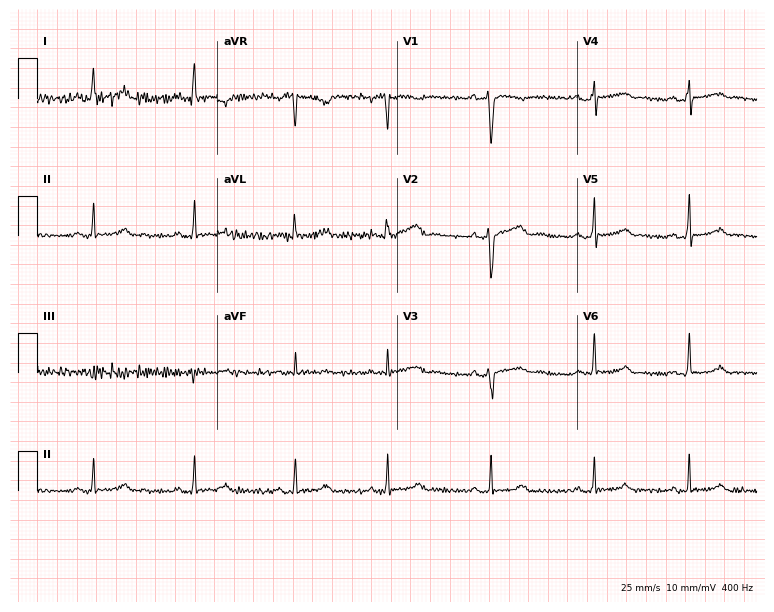
ECG (7.3-second recording at 400 Hz) — a 25-year-old female. Screened for six findings — first-degree AV block, right bundle branch block (RBBB), left bundle branch block (LBBB), sinus bradycardia, atrial fibrillation (AF), sinus tachycardia — none is recorded.